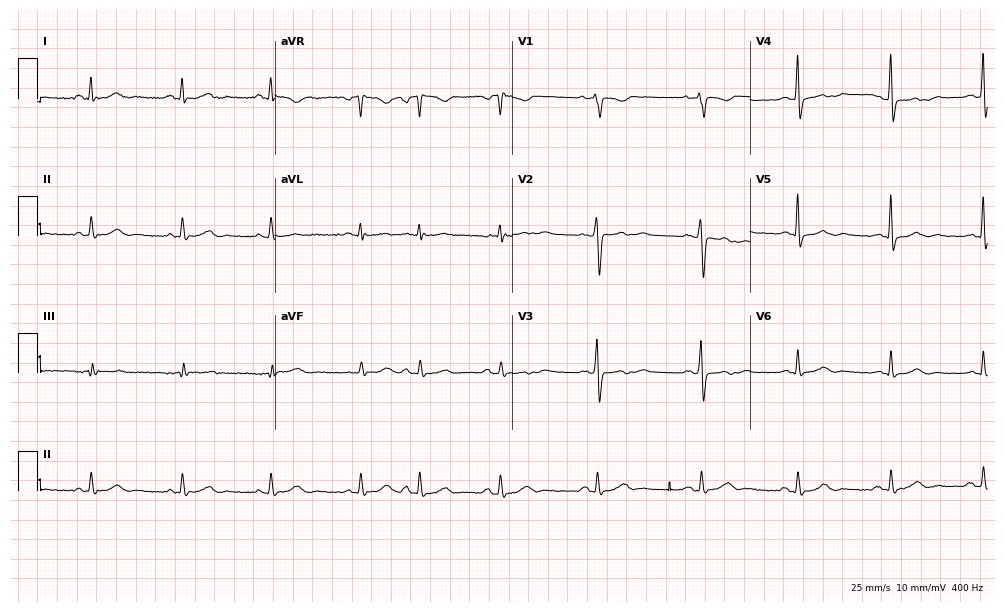
Standard 12-lead ECG recorded from a 45-year-old female (9.7-second recording at 400 Hz). None of these six findings is recorded: first-degree AV block, right bundle branch block, left bundle branch block, sinus bradycardia, atrial fibrillation, sinus tachycardia. Findings outside these six are not listed.